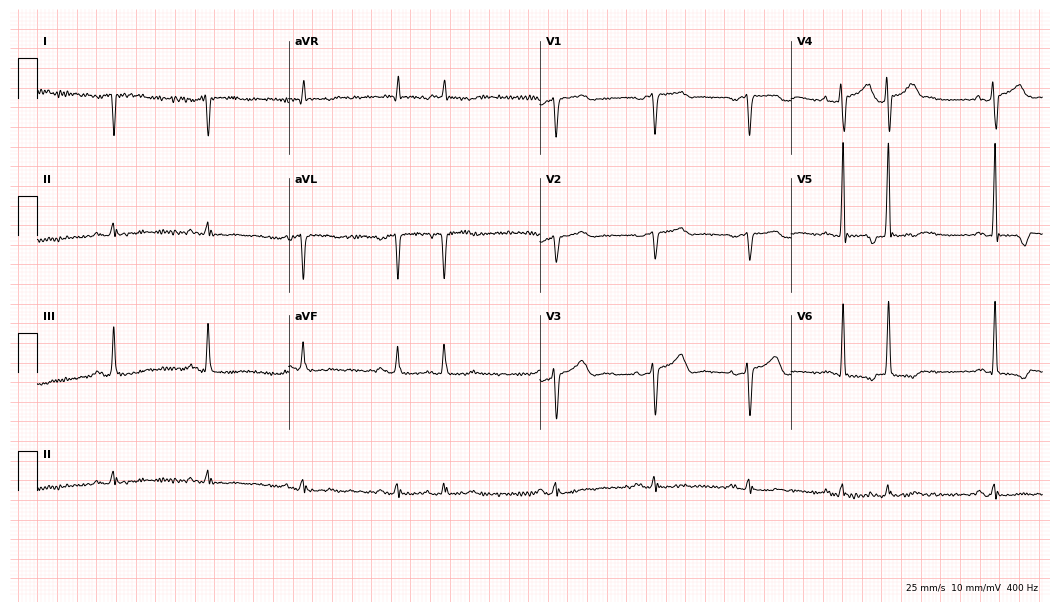
12-lead ECG from a female, 78 years old. Screened for six findings — first-degree AV block, right bundle branch block, left bundle branch block, sinus bradycardia, atrial fibrillation, sinus tachycardia — none is recorded.